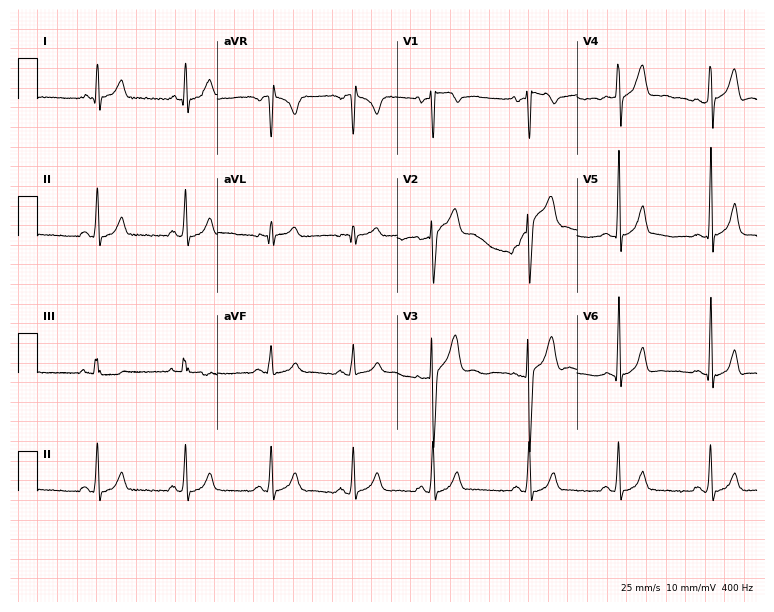
Standard 12-lead ECG recorded from a male patient, 24 years old. Read as a normal ECG.